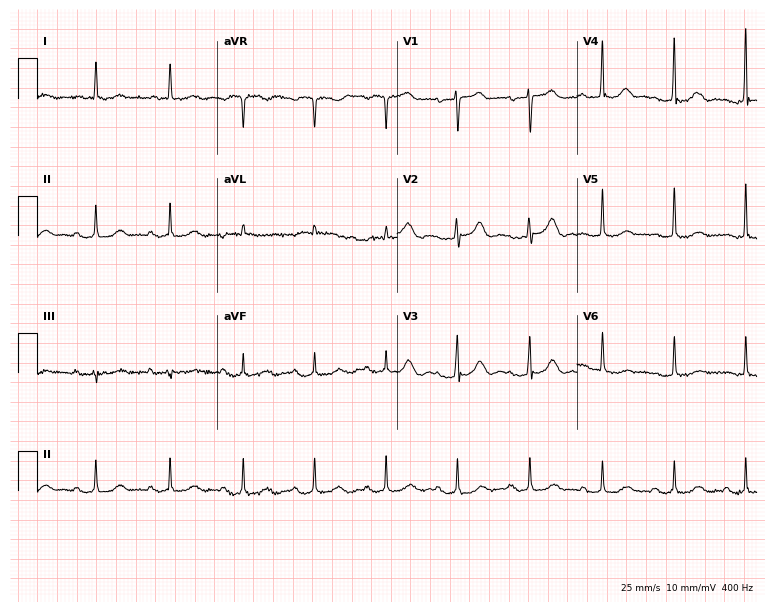
12-lead ECG from a female, 77 years old. Screened for six findings — first-degree AV block, right bundle branch block, left bundle branch block, sinus bradycardia, atrial fibrillation, sinus tachycardia — none is recorded. Other findings, if any, are not listed.